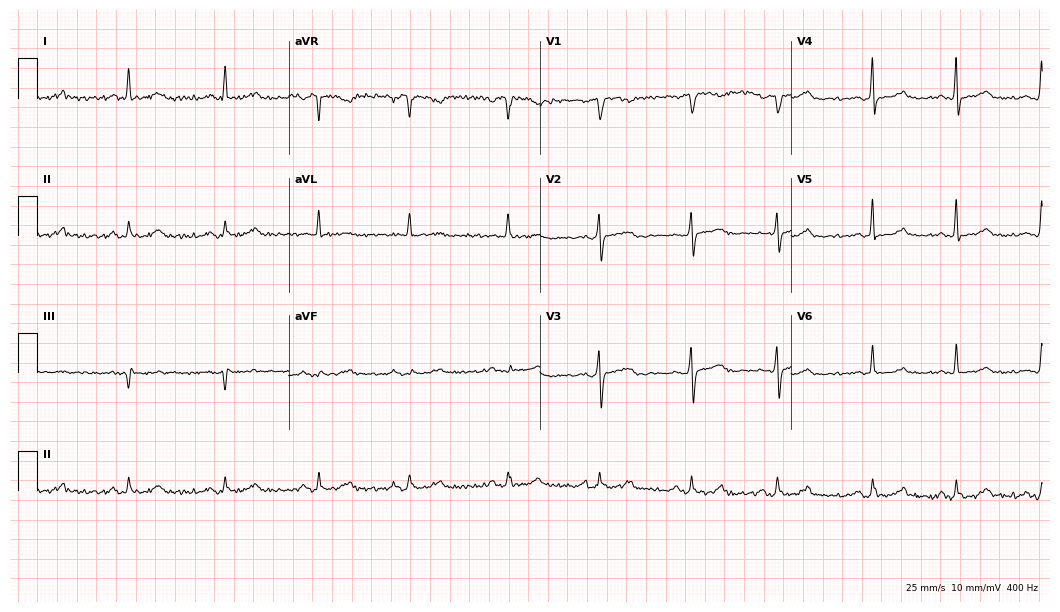
Standard 12-lead ECG recorded from a woman, 50 years old. None of these six findings is recorded: first-degree AV block, right bundle branch block (RBBB), left bundle branch block (LBBB), sinus bradycardia, atrial fibrillation (AF), sinus tachycardia. Other findings, if any, are not listed.